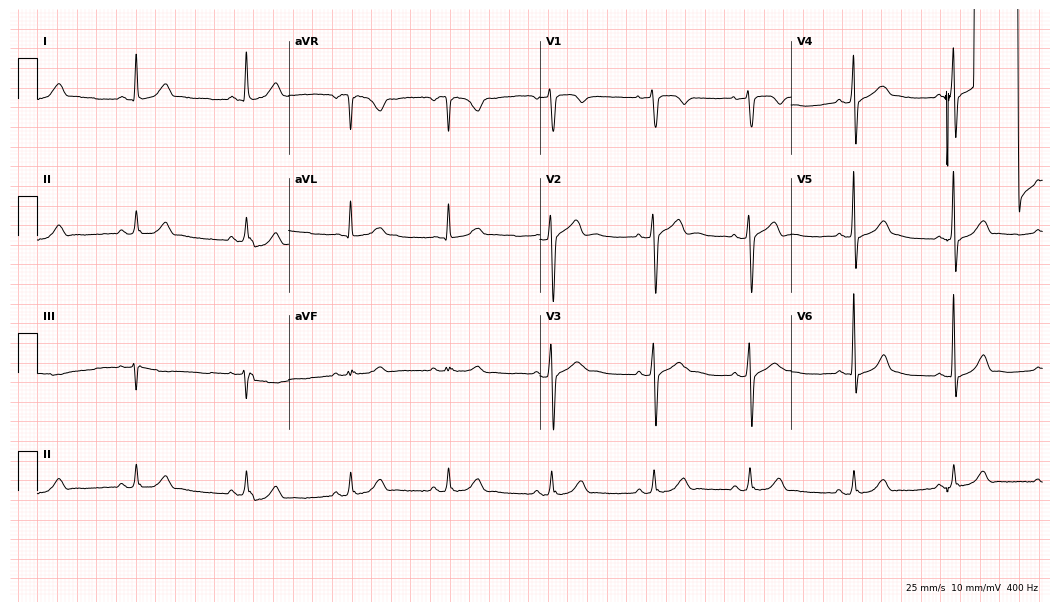
12-lead ECG from a 37-year-old man (10.2-second recording at 400 Hz). Recorded interpretation: within normal limits.